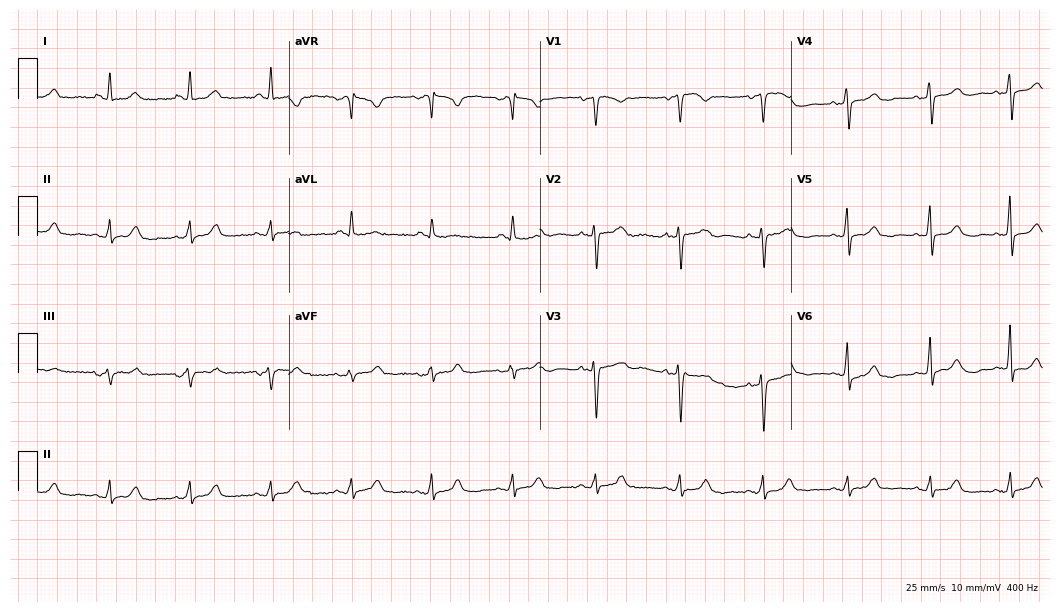
12-lead ECG (10.2-second recording at 400 Hz) from a 52-year-old woman. Screened for six findings — first-degree AV block, right bundle branch block, left bundle branch block, sinus bradycardia, atrial fibrillation, sinus tachycardia — none is recorded.